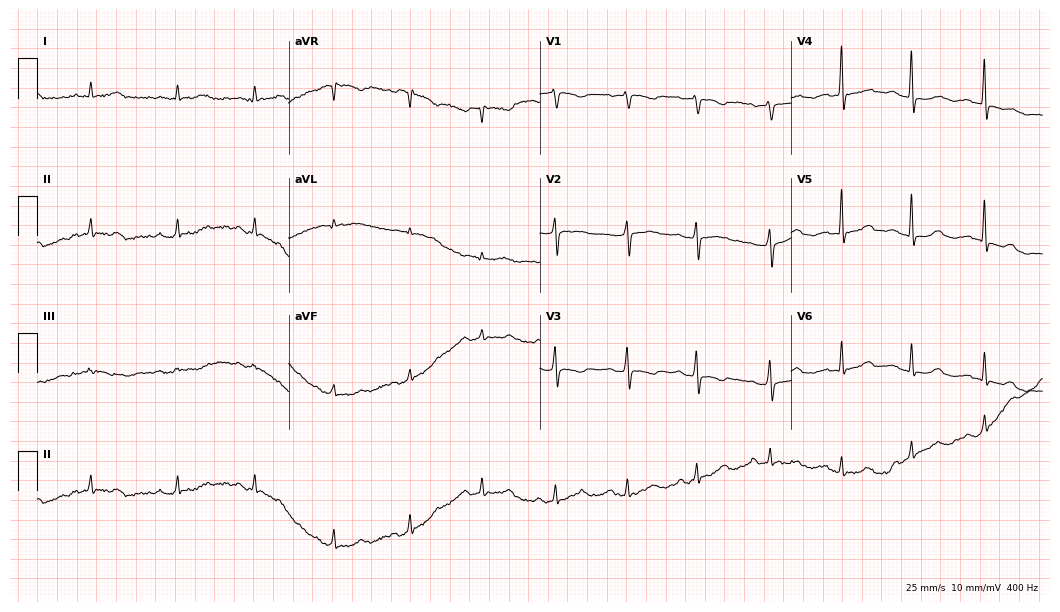
Resting 12-lead electrocardiogram (10.2-second recording at 400 Hz). Patient: a 65-year-old female. None of these six findings is recorded: first-degree AV block, right bundle branch block, left bundle branch block, sinus bradycardia, atrial fibrillation, sinus tachycardia.